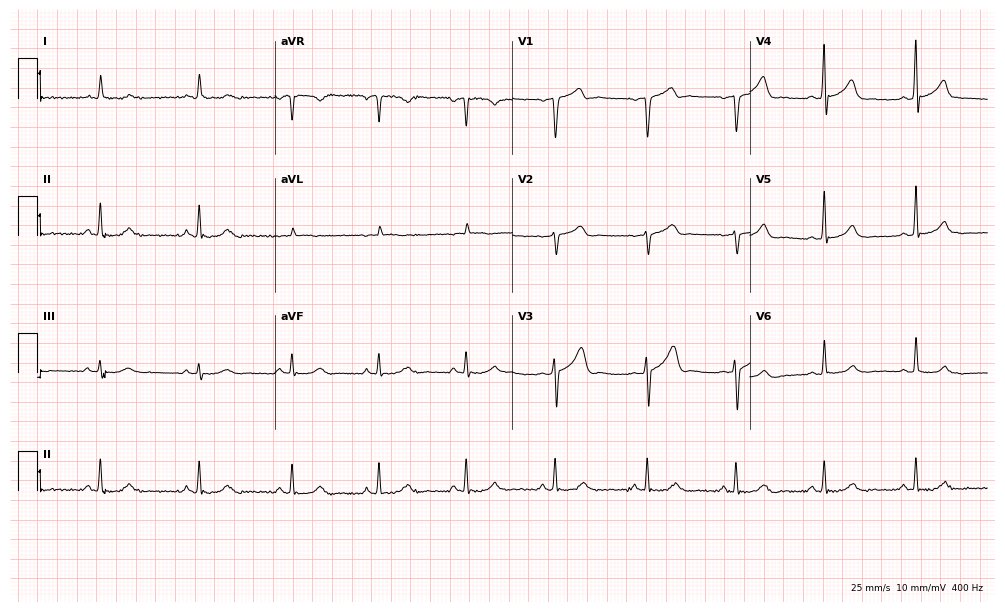
Electrocardiogram (9.7-second recording at 400 Hz), a 30-year-old male patient. Overall reading on record: normal ECG.